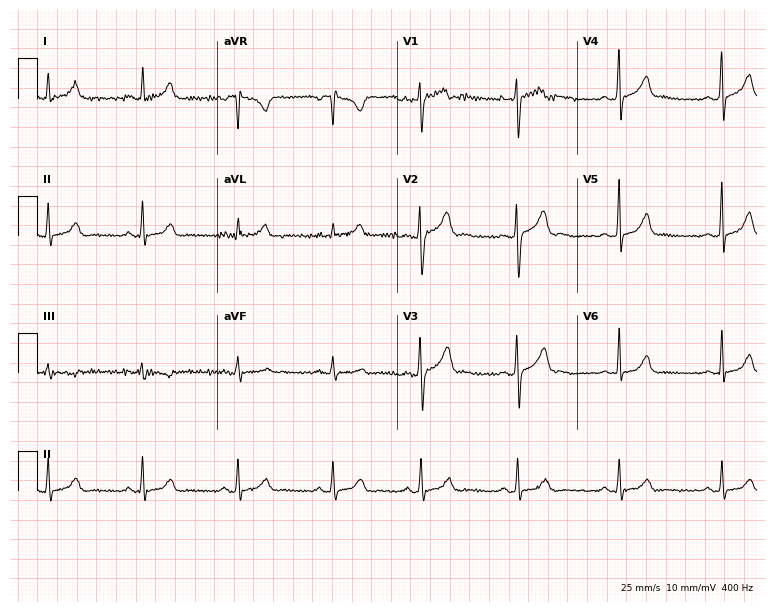
12-lead ECG from a 27-year-old female patient (7.3-second recording at 400 Hz). No first-degree AV block, right bundle branch block (RBBB), left bundle branch block (LBBB), sinus bradycardia, atrial fibrillation (AF) or sinus tachycardia recorded for this tracing.